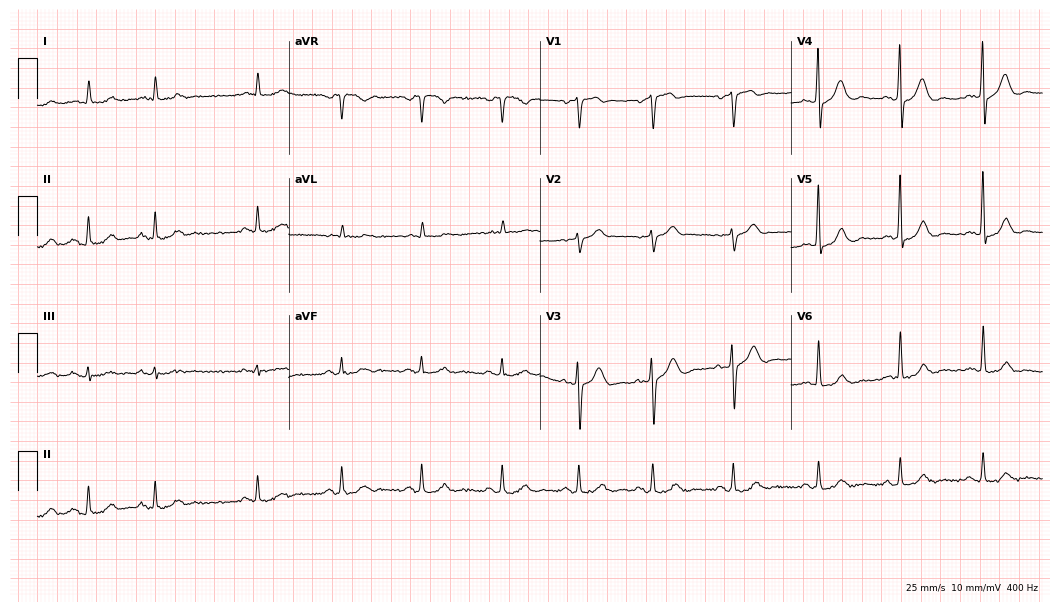
Resting 12-lead electrocardiogram. Patient: a 61-year-old male. Read as a normal ECG.